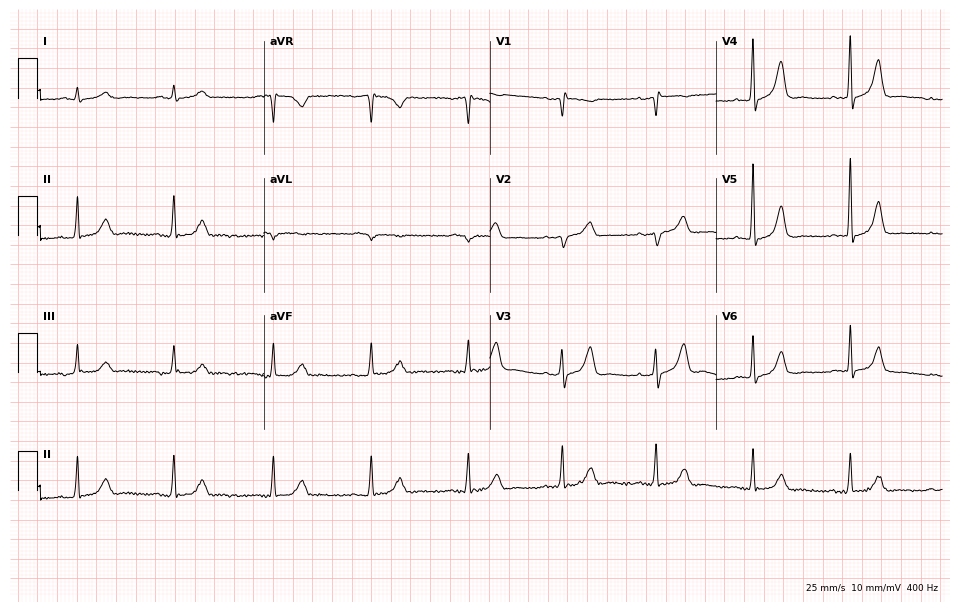
Standard 12-lead ECG recorded from a 67-year-old male. Read as a normal ECG.